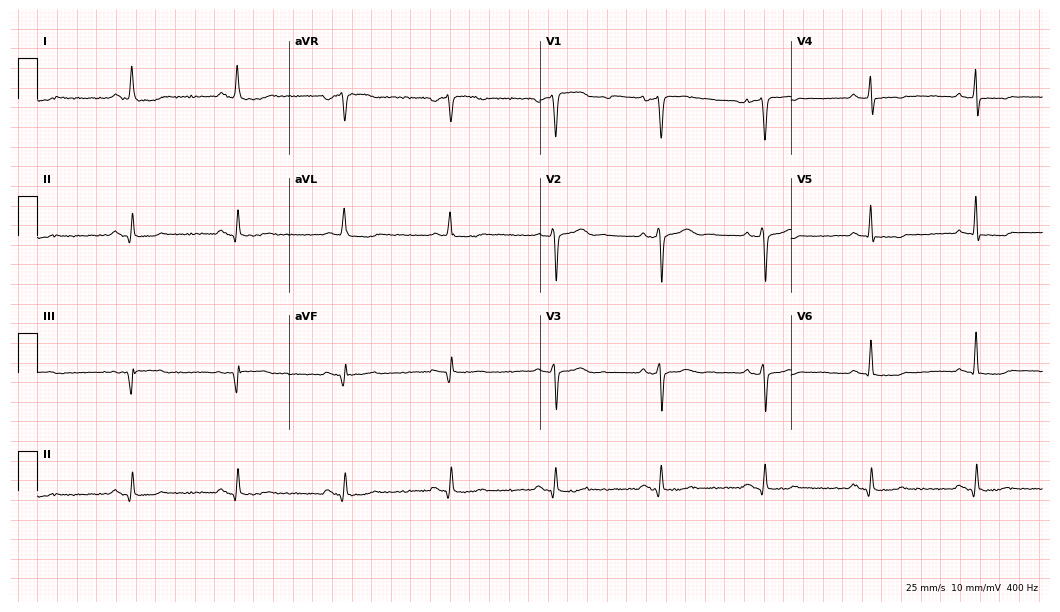
ECG — a man, 58 years old. Screened for six findings — first-degree AV block, right bundle branch block, left bundle branch block, sinus bradycardia, atrial fibrillation, sinus tachycardia — none is recorded.